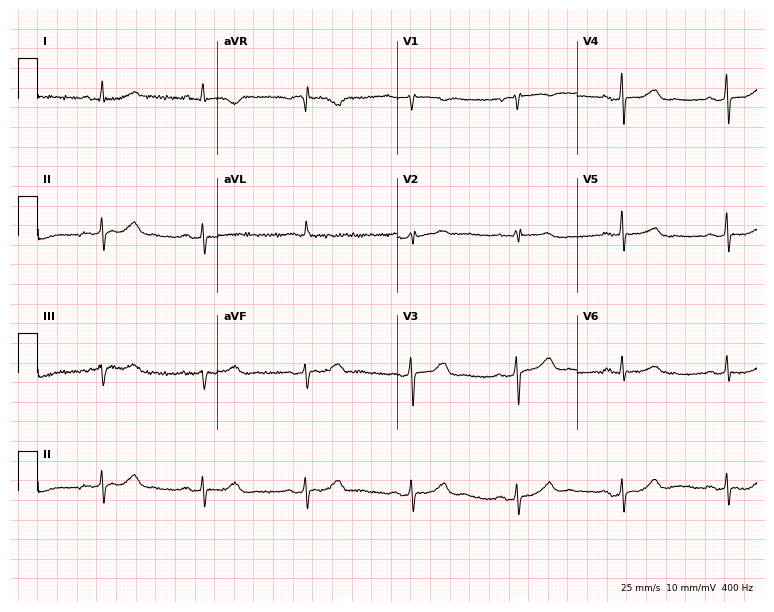
12-lead ECG from a female, 66 years old. No first-degree AV block, right bundle branch block, left bundle branch block, sinus bradycardia, atrial fibrillation or sinus tachycardia recorded for this tracing. Findings outside these six are not listed.